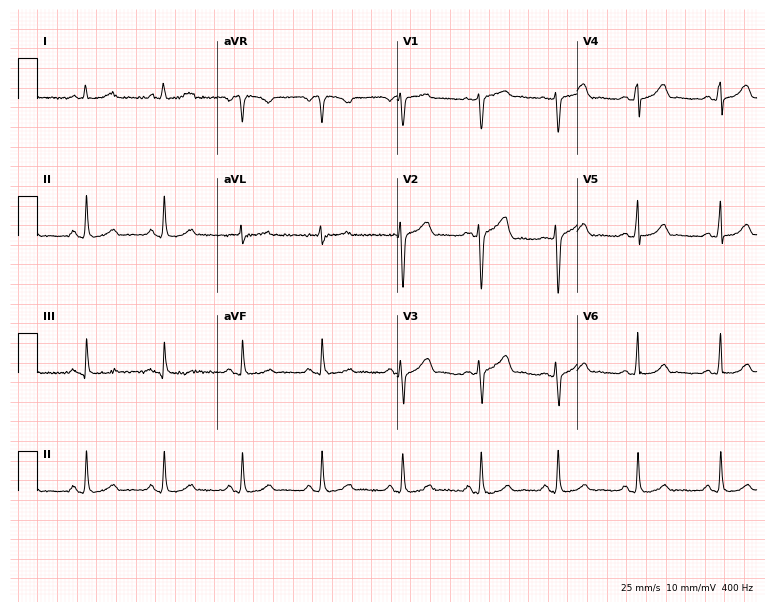
ECG — a male patient, 45 years old. Labelled as a normal ECG.